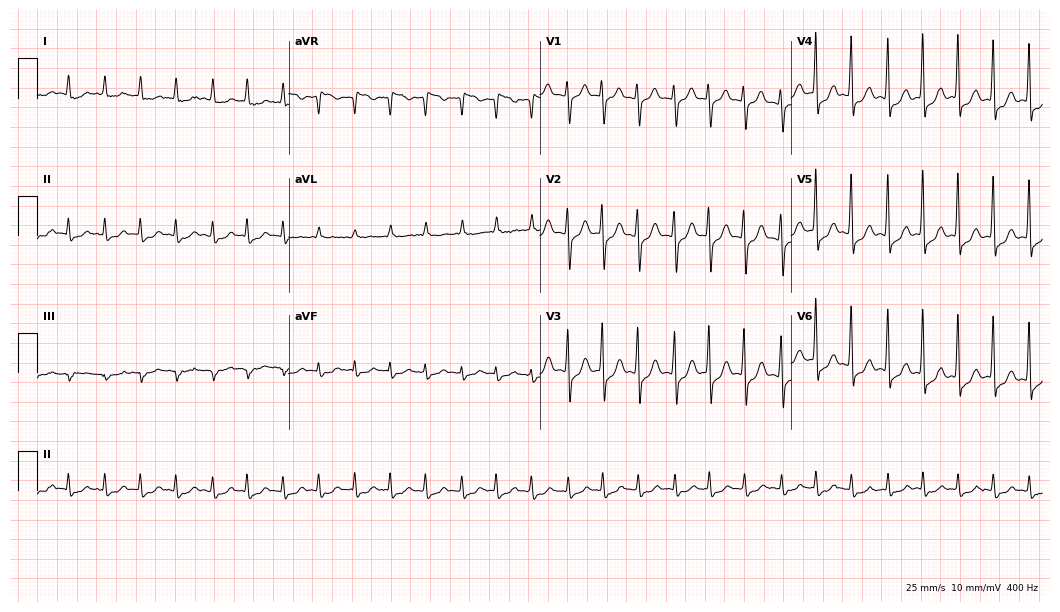
12-lead ECG (10.2-second recording at 400 Hz) from a woman, 75 years old. Findings include atrial fibrillation.